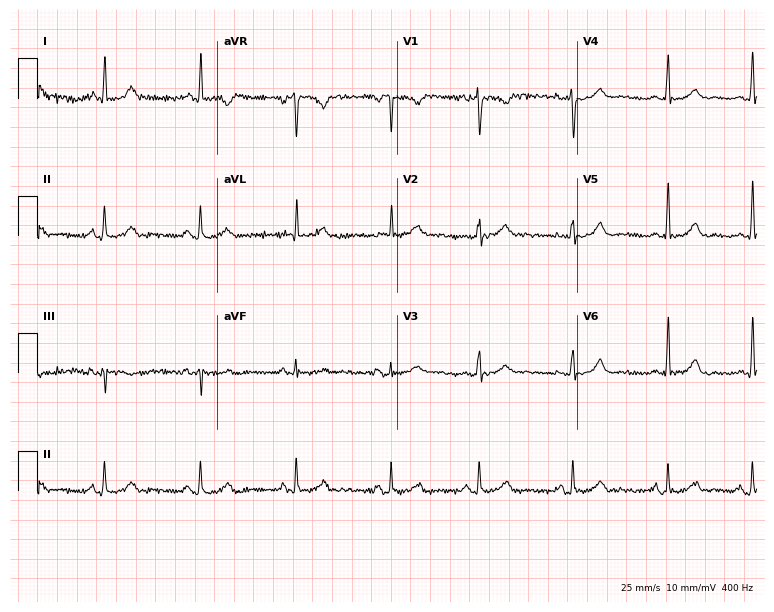
12-lead ECG from a 36-year-old female patient (7.3-second recording at 400 Hz). Recorded interpretation: within normal limits.